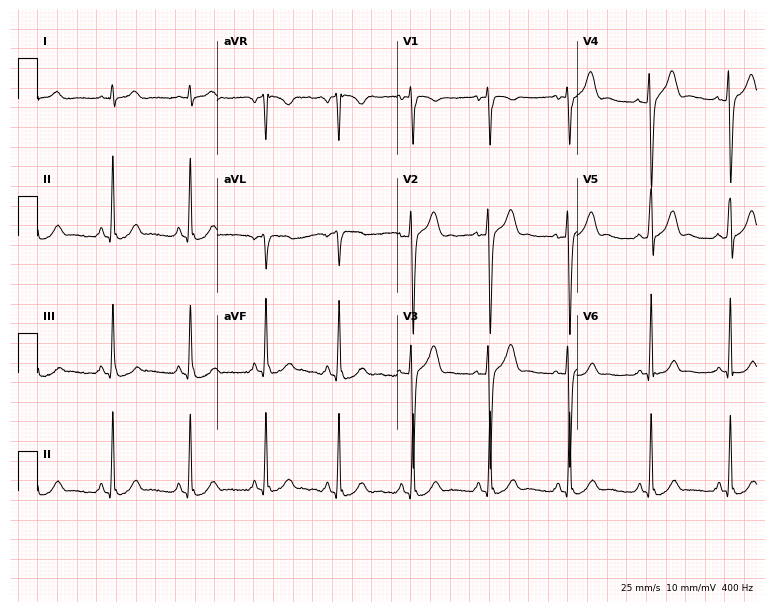
Standard 12-lead ECG recorded from a 22-year-old male. Read as a normal ECG.